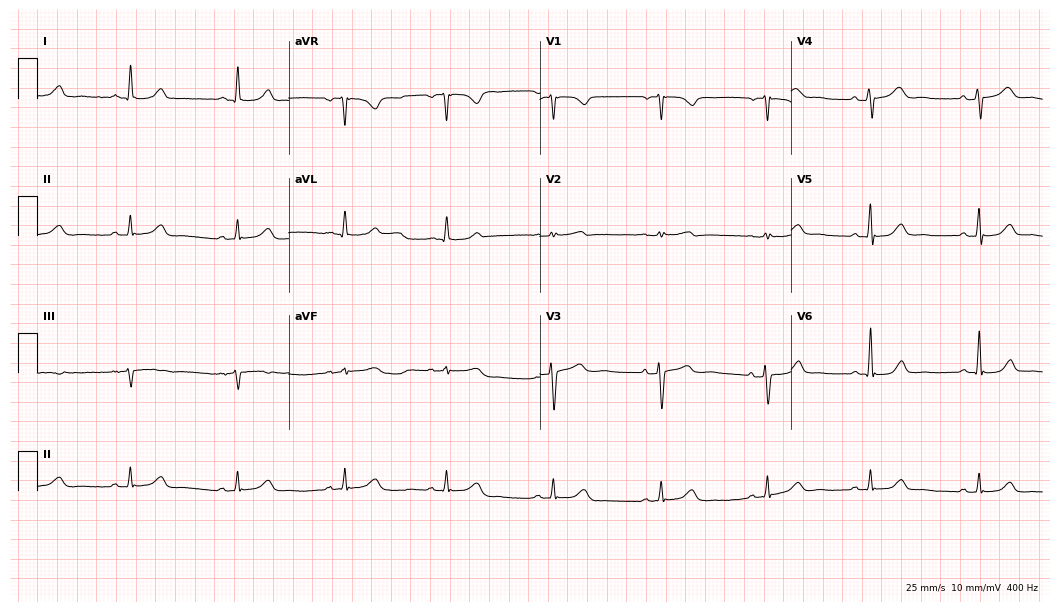
Standard 12-lead ECG recorded from a 57-year-old woman (10.2-second recording at 400 Hz). Read as a normal ECG.